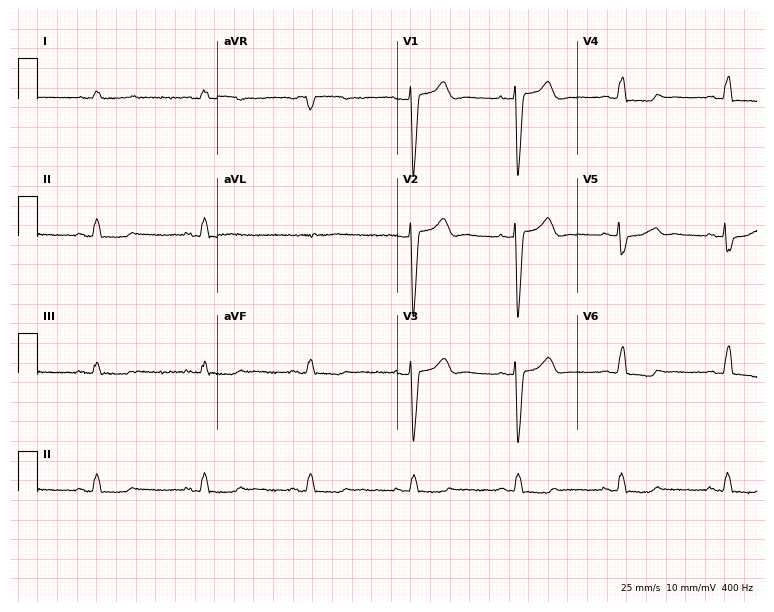
12-lead ECG from an 80-year-old female (7.3-second recording at 400 Hz). No first-degree AV block, right bundle branch block (RBBB), left bundle branch block (LBBB), sinus bradycardia, atrial fibrillation (AF) or sinus tachycardia recorded for this tracing. Only these six findings were labelled.